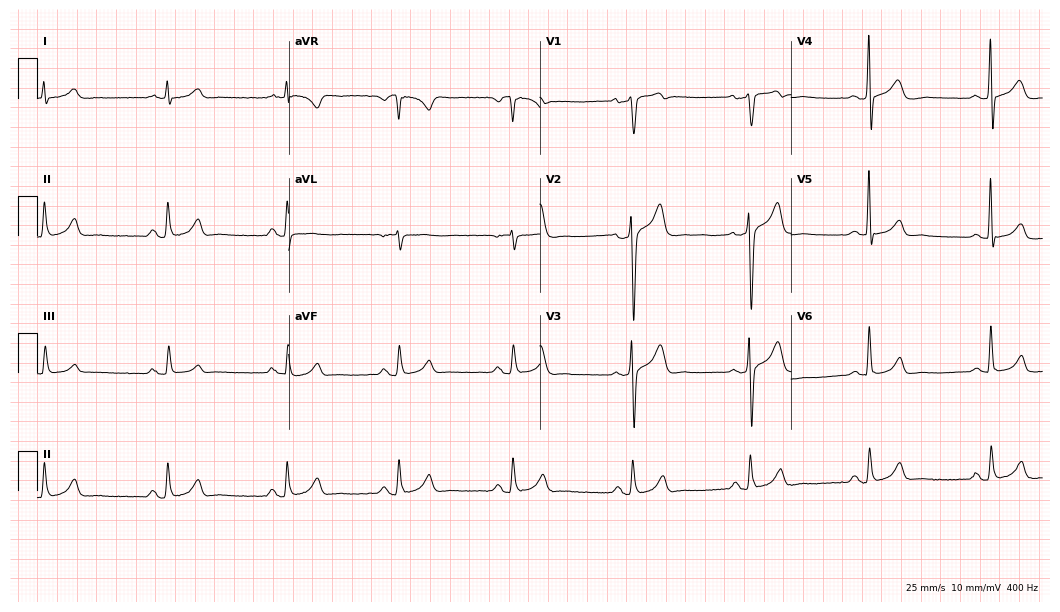
12-lead ECG (10.2-second recording at 400 Hz) from a male, 55 years old. Findings include sinus bradycardia (a sinus rate of 50 beats per minute or less).